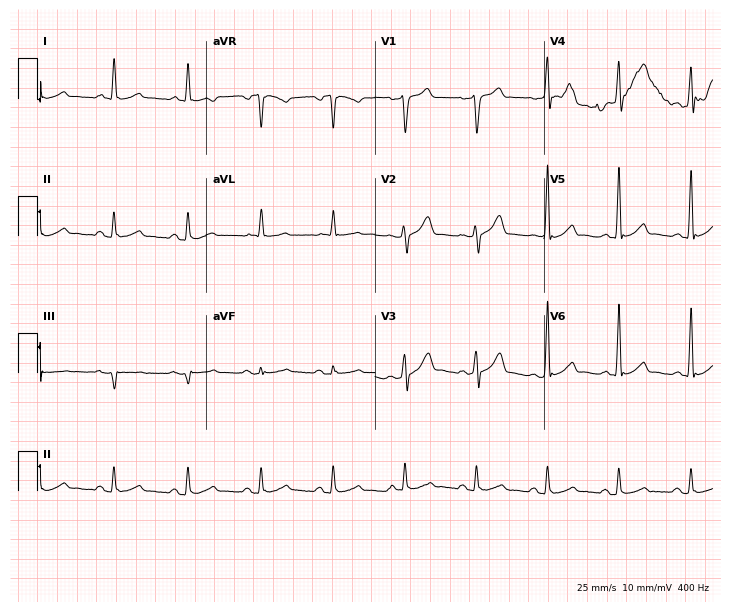
Standard 12-lead ECG recorded from a male, 73 years old. Read as a normal ECG.